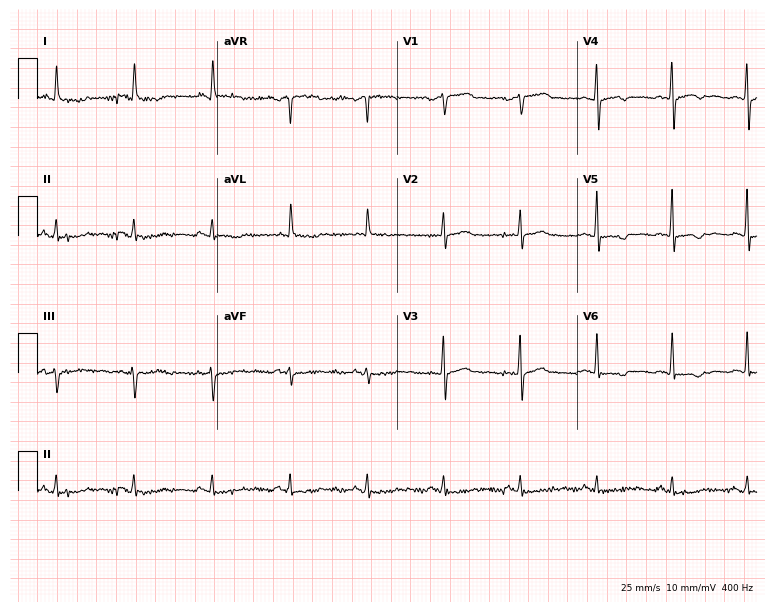
Electrocardiogram, a female, 82 years old. Of the six screened findings (first-degree AV block, right bundle branch block, left bundle branch block, sinus bradycardia, atrial fibrillation, sinus tachycardia), none is recorded.